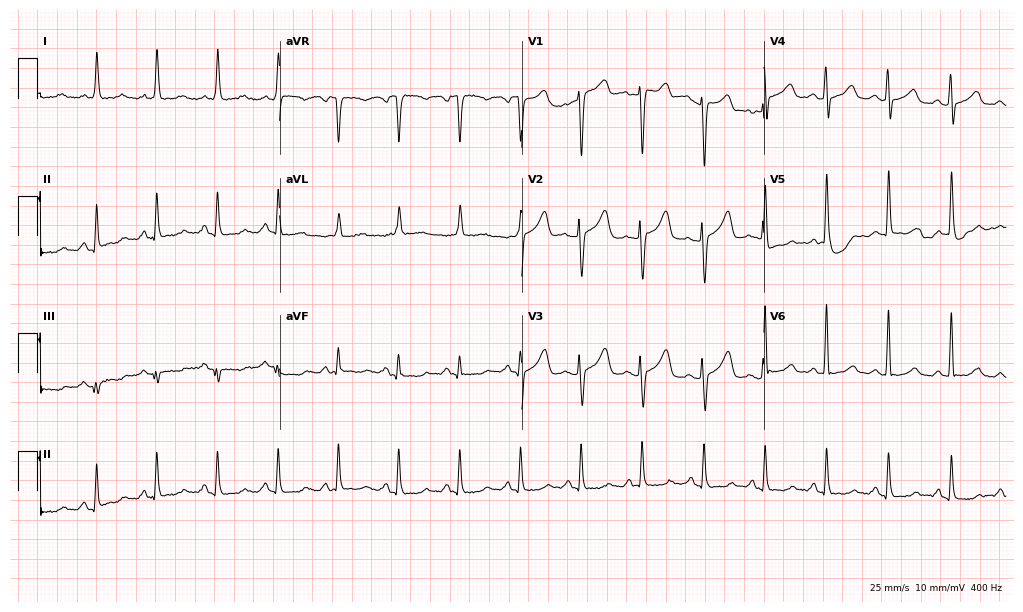
12-lead ECG from a 52-year-old female (9.9-second recording at 400 Hz). Recorded interpretation: within normal limits.